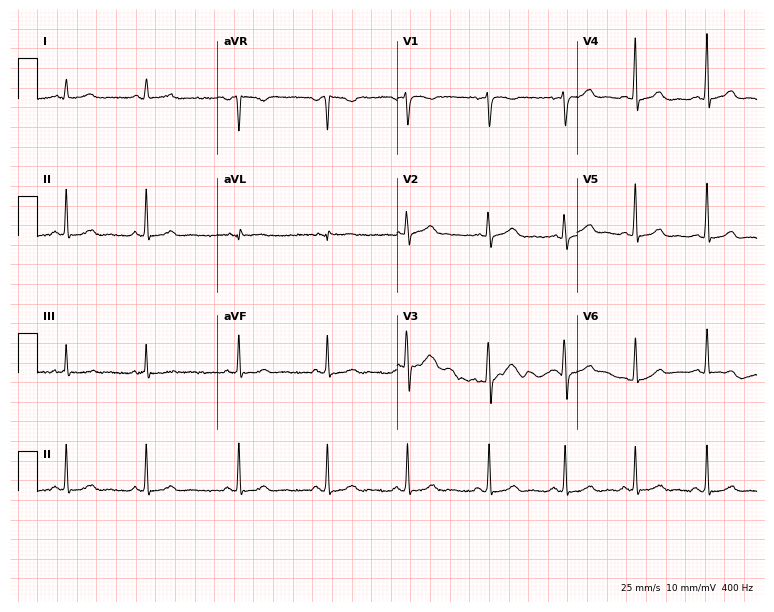
Electrocardiogram, a woman, 20 years old. Of the six screened findings (first-degree AV block, right bundle branch block (RBBB), left bundle branch block (LBBB), sinus bradycardia, atrial fibrillation (AF), sinus tachycardia), none is recorded.